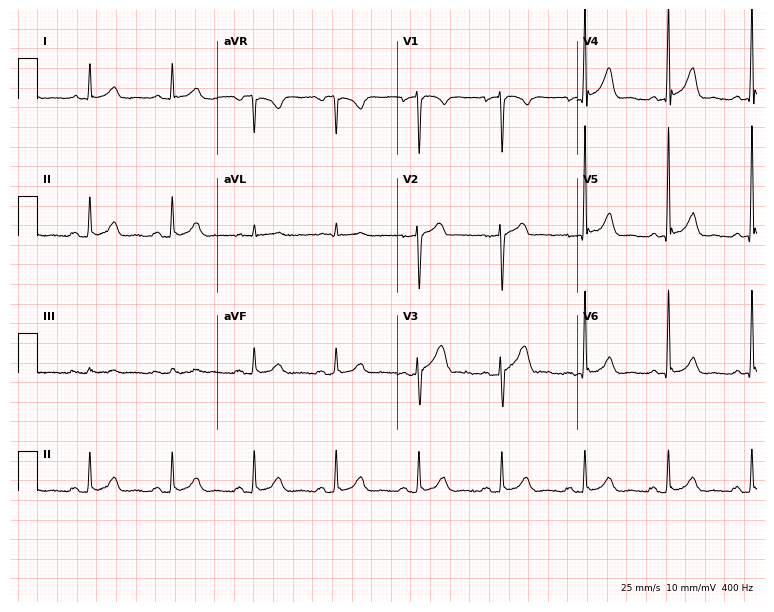
Standard 12-lead ECG recorded from a 49-year-old man. Read as a normal ECG.